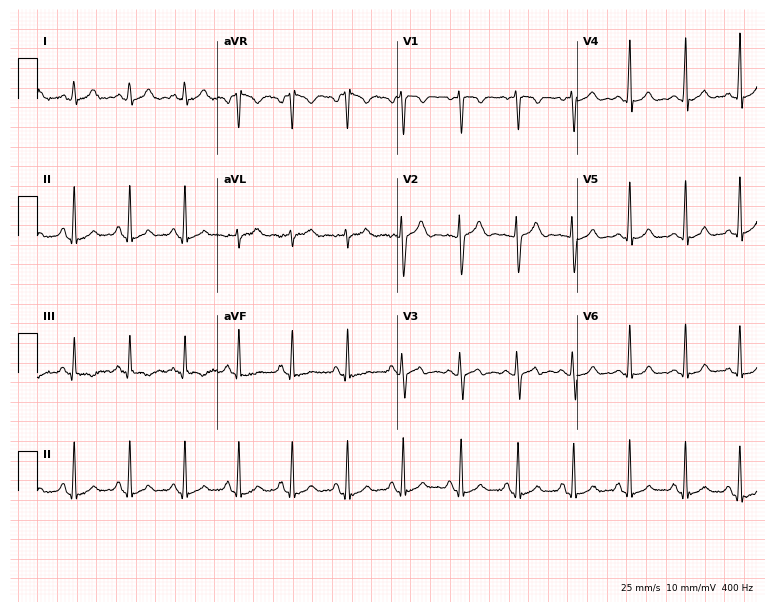
Standard 12-lead ECG recorded from a female patient, 21 years old (7.3-second recording at 400 Hz). The tracing shows sinus tachycardia (a sinus rate of 100 beats per minute or more).